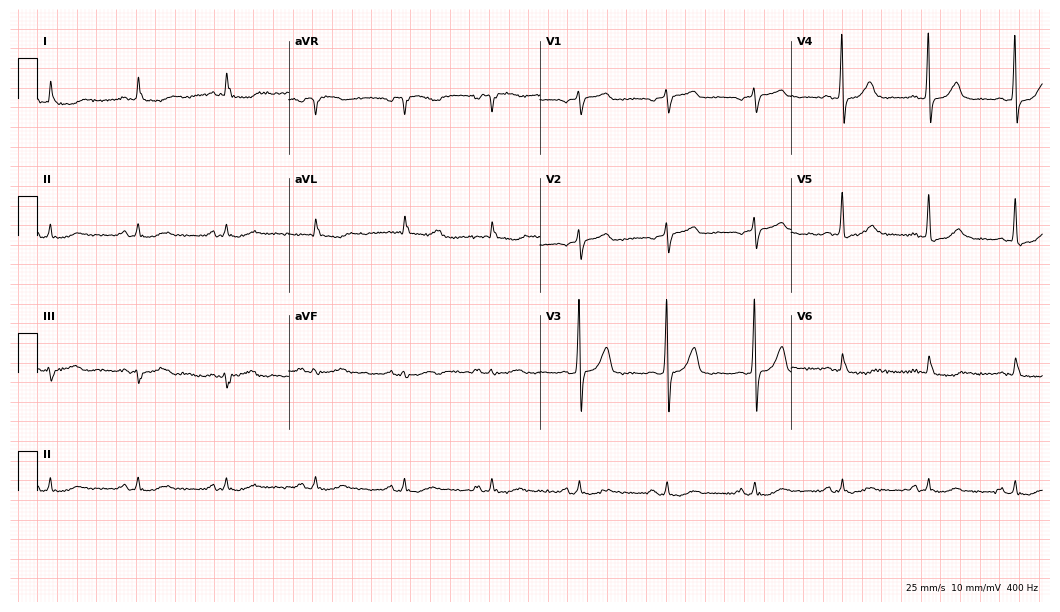
12-lead ECG (10.2-second recording at 400 Hz) from a man, 70 years old. Screened for six findings — first-degree AV block, right bundle branch block, left bundle branch block, sinus bradycardia, atrial fibrillation, sinus tachycardia — none is recorded. Other findings, if any, are not listed.